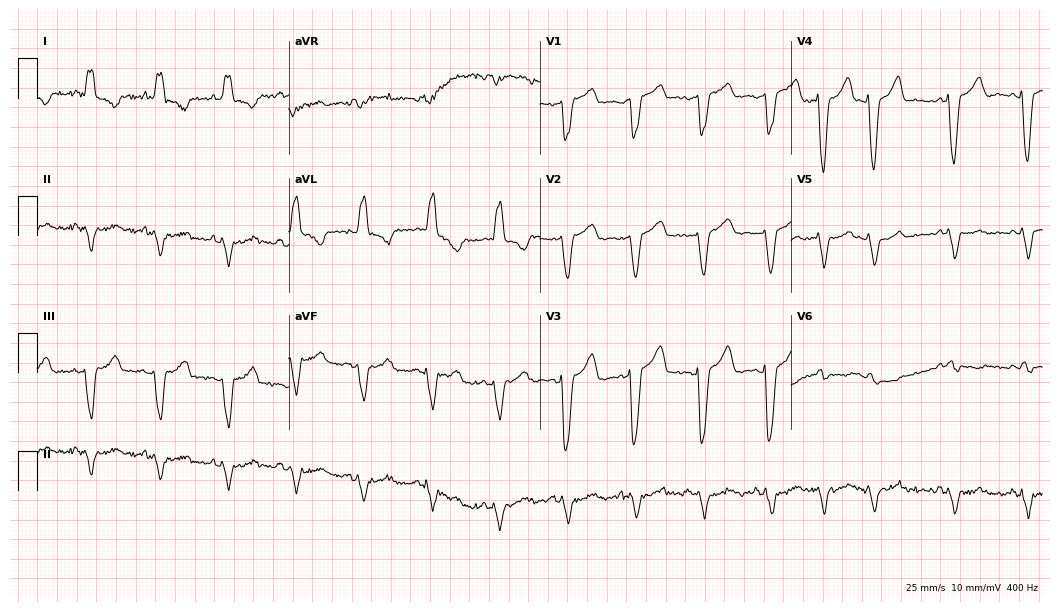
Electrocardiogram (10.2-second recording at 400 Hz), an 84-year-old woman. Interpretation includes left bundle branch block.